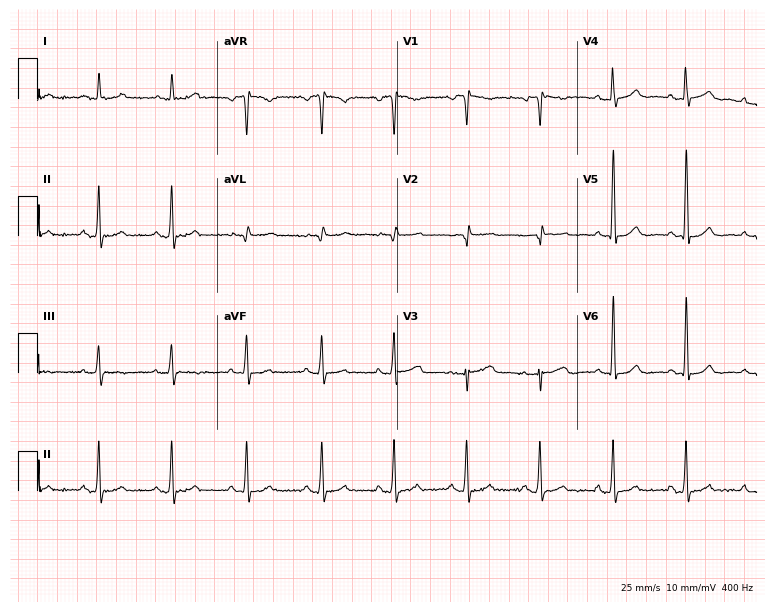
ECG (7.3-second recording at 400 Hz) — a 67-year-old female. Labelled as a normal ECG.